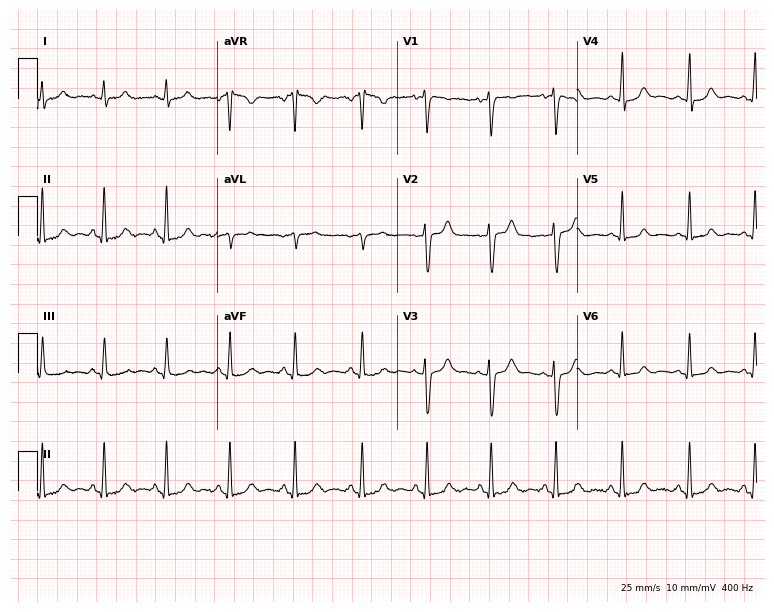
12-lead ECG from a woman, 36 years old. Labelled as a normal ECG.